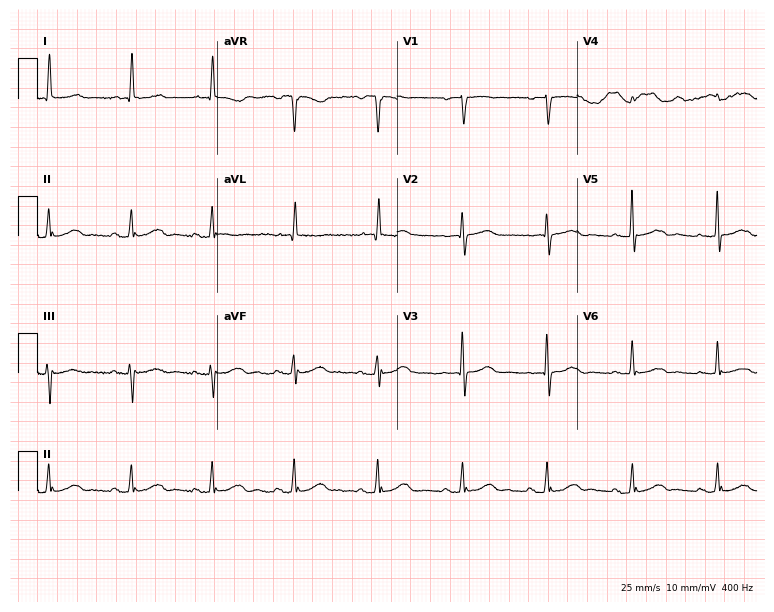
Electrocardiogram (7.3-second recording at 400 Hz), a female patient, 73 years old. Of the six screened findings (first-degree AV block, right bundle branch block, left bundle branch block, sinus bradycardia, atrial fibrillation, sinus tachycardia), none is recorded.